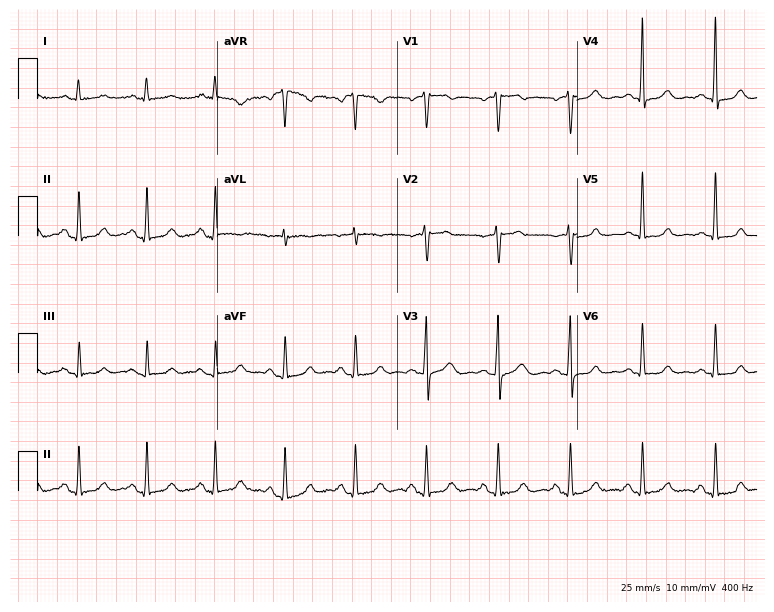
Standard 12-lead ECG recorded from a female patient, 55 years old (7.3-second recording at 400 Hz). None of these six findings is recorded: first-degree AV block, right bundle branch block (RBBB), left bundle branch block (LBBB), sinus bradycardia, atrial fibrillation (AF), sinus tachycardia.